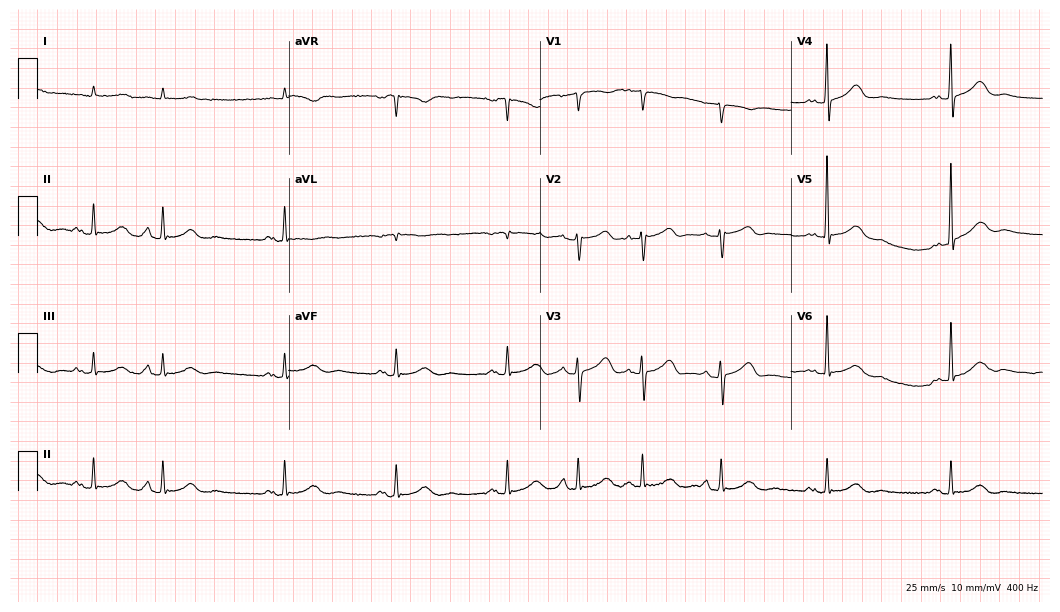
12-lead ECG from a man, 83 years old (10.2-second recording at 400 Hz). Recorded interpretation: within normal limits.